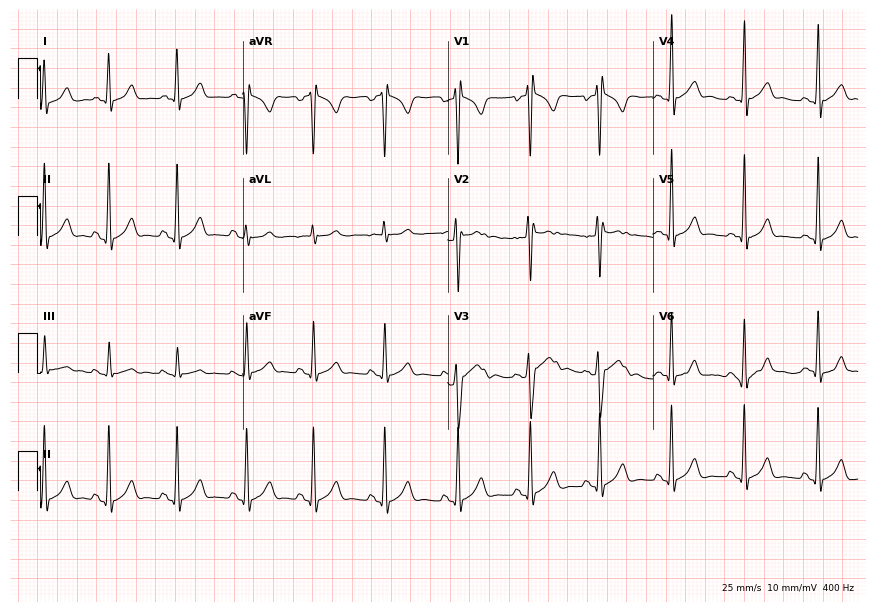
ECG (8.4-second recording at 400 Hz) — a 17-year-old male patient. Screened for six findings — first-degree AV block, right bundle branch block, left bundle branch block, sinus bradycardia, atrial fibrillation, sinus tachycardia — none is recorded. Findings outside these six are not listed.